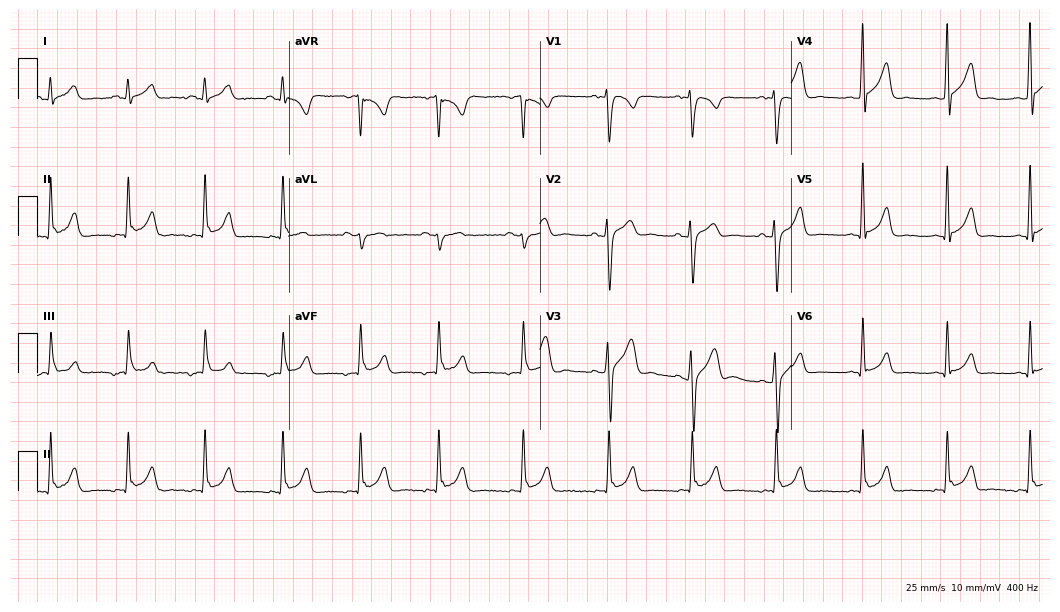
Electrocardiogram (10.2-second recording at 400 Hz), a 23-year-old female patient. Overall reading on record: normal ECG.